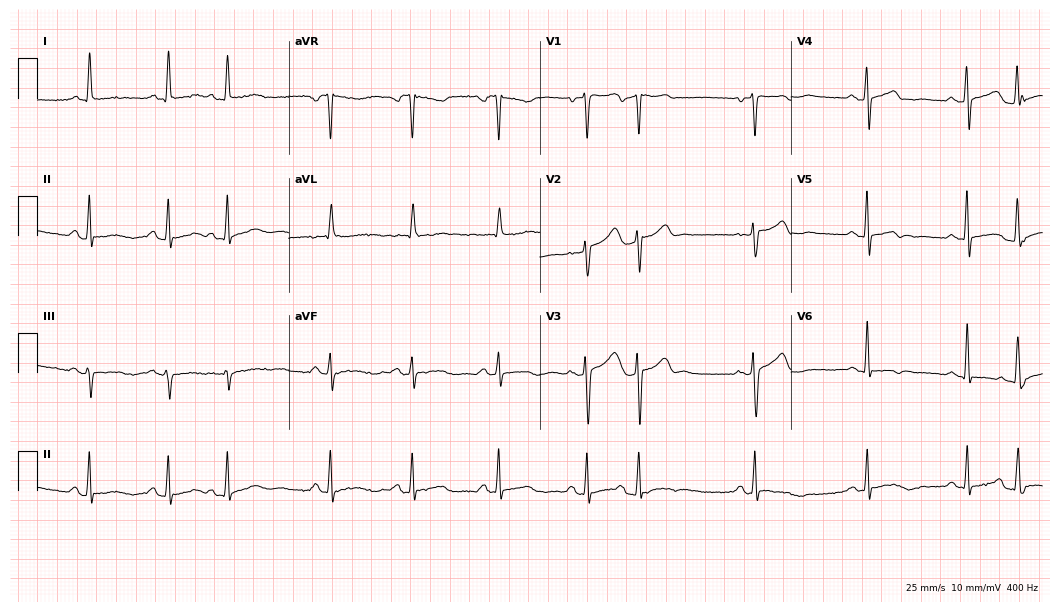
12-lead ECG from a 57-year-old female. Screened for six findings — first-degree AV block, right bundle branch block (RBBB), left bundle branch block (LBBB), sinus bradycardia, atrial fibrillation (AF), sinus tachycardia — none is recorded. Only these six findings were labelled.